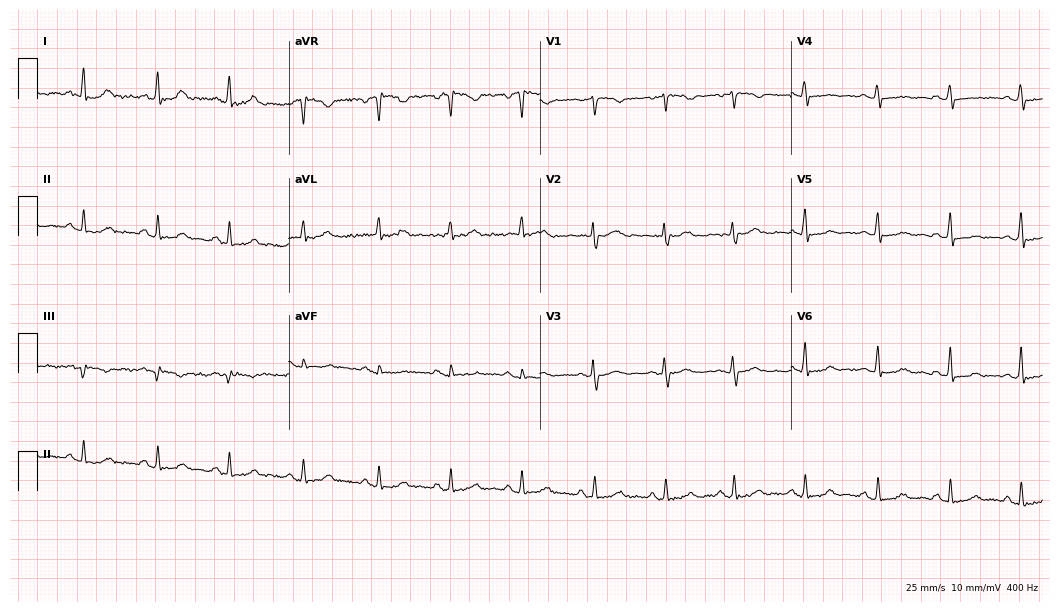
Standard 12-lead ECG recorded from a female patient, 57 years old. Read as a normal ECG.